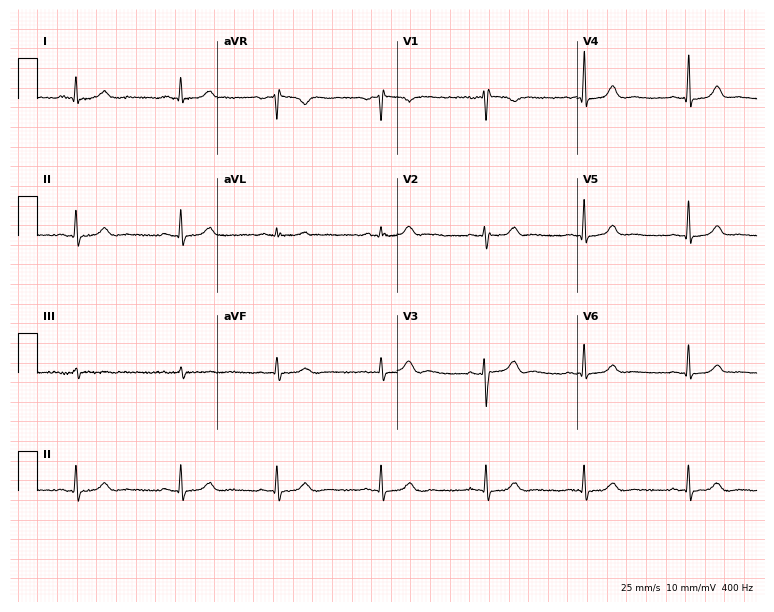
12-lead ECG from a female patient, 32 years old. Labelled as a normal ECG.